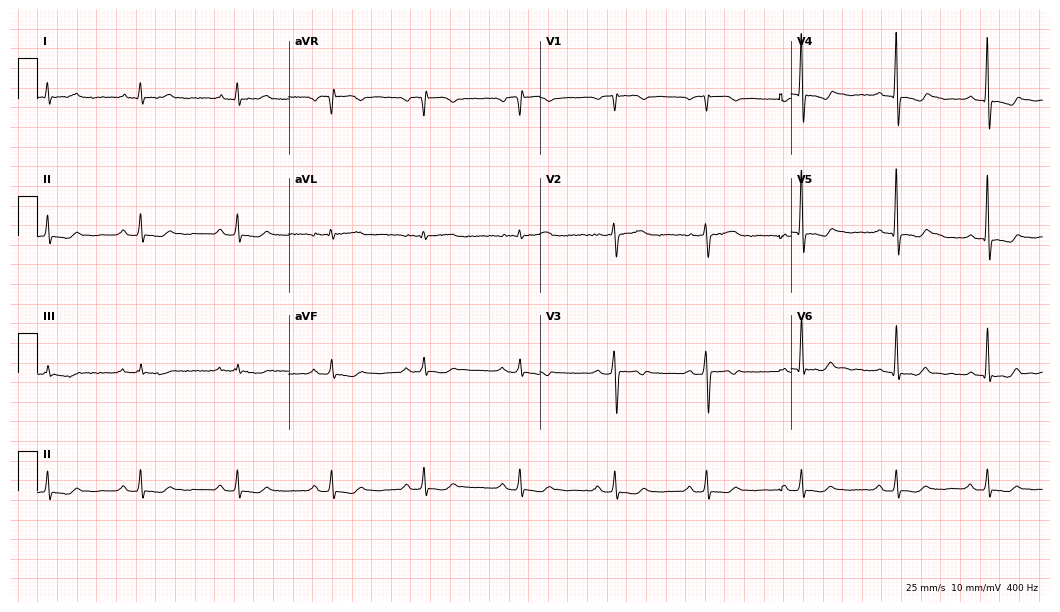
12-lead ECG from a woman, 42 years old. No first-degree AV block, right bundle branch block, left bundle branch block, sinus bradycardia, atrial fibrillation or sinus tachycardia recorded for this tracing.